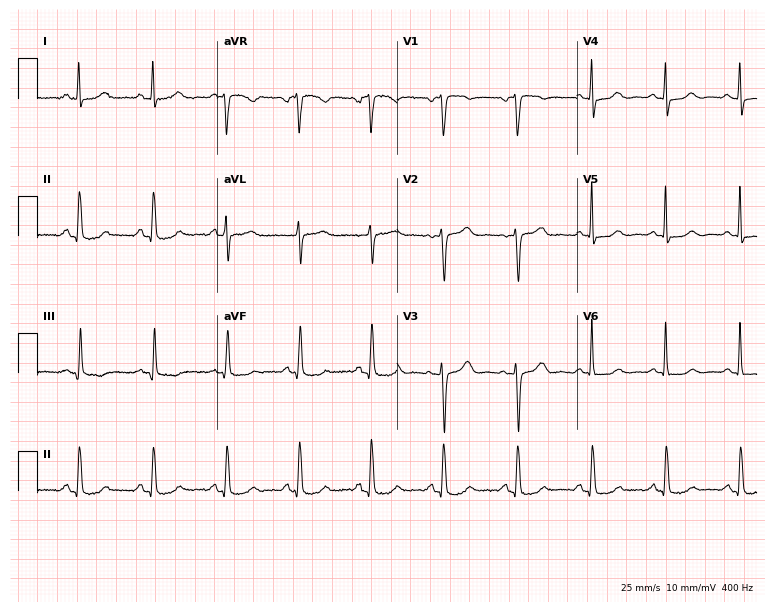
12-lead ECG (7.3-second recording at 400 Hz) from a 67-year-old woman. Labelled as a normal ECG.